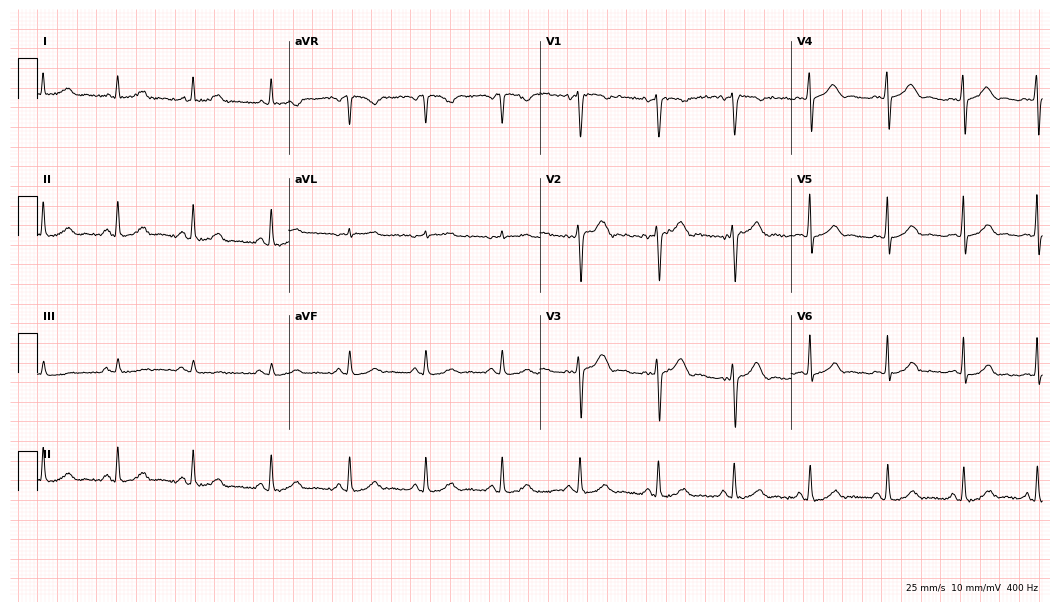
Standard 12-lead ECG recorded from a female, 34 years old. None of these six findings is recorded: first-degree AV block, right bundle branch block (RBBB), left bundle branch block (LBBB), sinus bradycardia, atrial fibrillation (AF), sinus tachycardia.